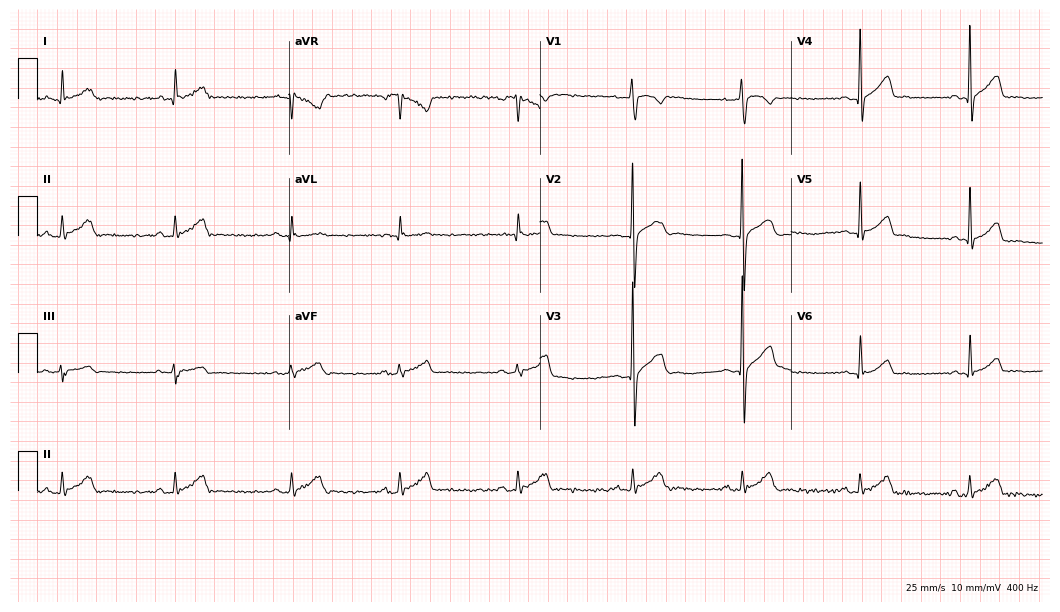
12-lead ECG from a male, 26 years old. Labelled as a normal ECG.